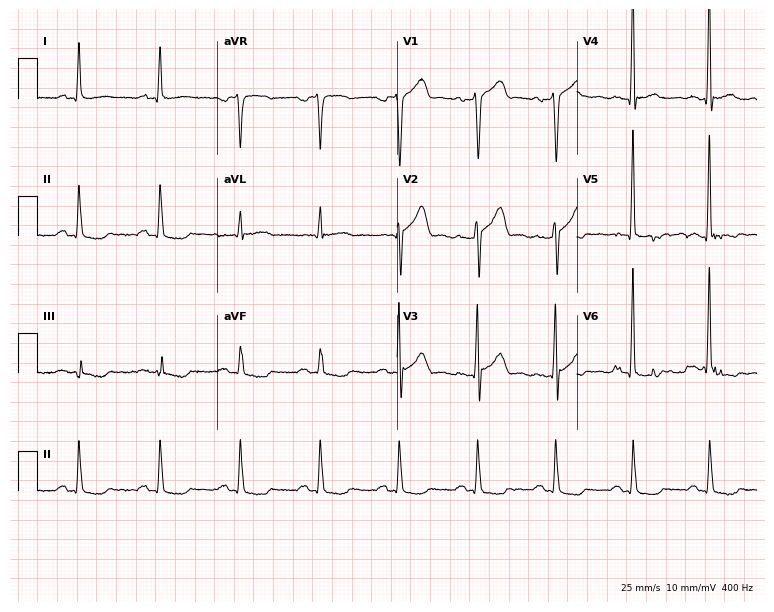
12-lead ECG (7.3-second recording at 400 Hz) from a male patient, 62 years old. Screened for six findings — first-degree AV block, right bundle branch block, left bundle branch block, sinus bradycardia, atrial fibrillation, sinus tachycardia — none is recorded. Findings outside these six are not listed.